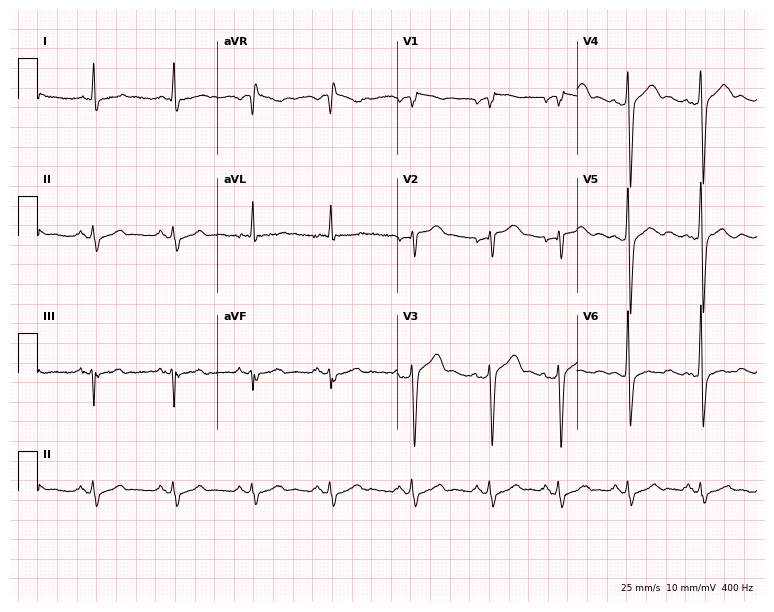
Resting 12-lead electrocardiogram. Patient: a 47-year-old man. None of these six findings is recorded: first-degree AV block, right bundle branch block, left bundle branch block, sinus bradycardia, atrial fibrillation, sinus tachycardia. Other findings, if any, are not listed.